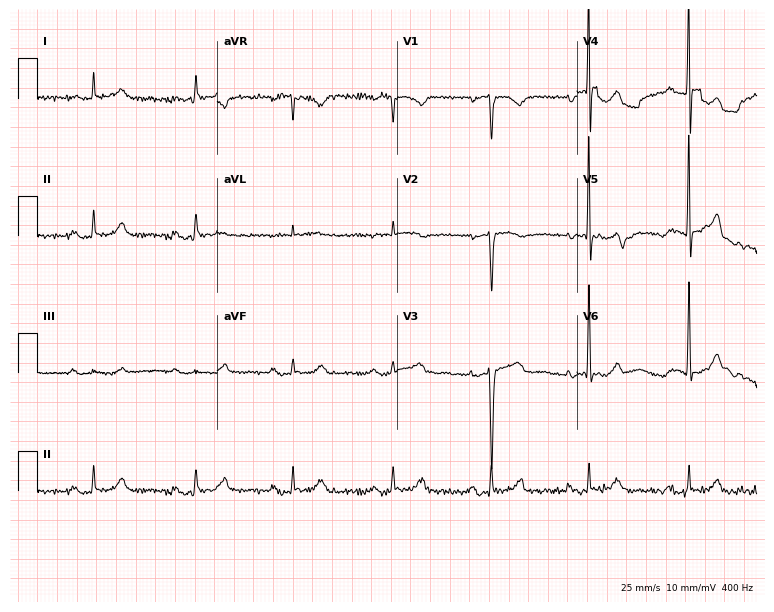
ECG — a female, 79 years old. Findings include first-degree AV block.